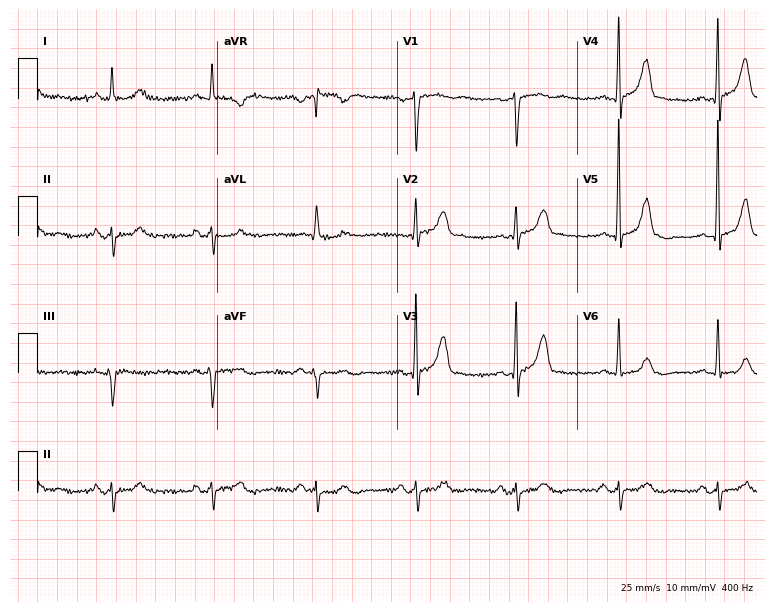
12-lead ECG from a male patient, 72 years old. No first-degree AV block, right bundle branch block (RBBB), left bundle branch block (LBBB), sinus bradycardia, atrial fibrillation (AF) or sinus tachycardia recorded for this tracing.